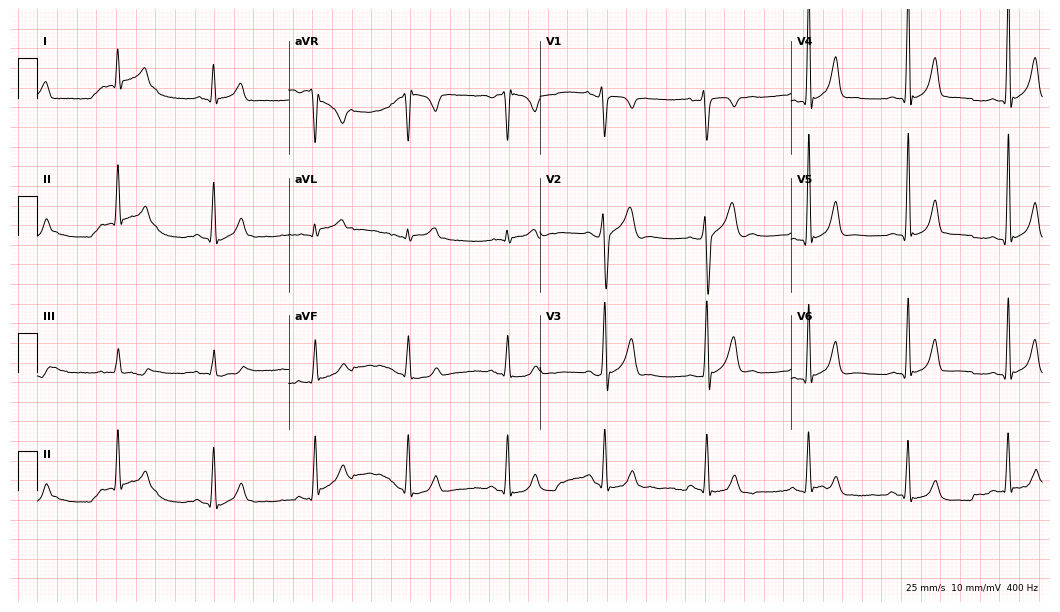
Standard 12-lead ECG recorded from a 29-year-old male patient (10.2-second recording at 400 Hz). None of these six findings is recorded: first-degree AV block, right bundle branch block (RBBB), left bundle branch block (LBBB), sinus bradycardia, atrial fibrillation (AF), sinus tachycardia.